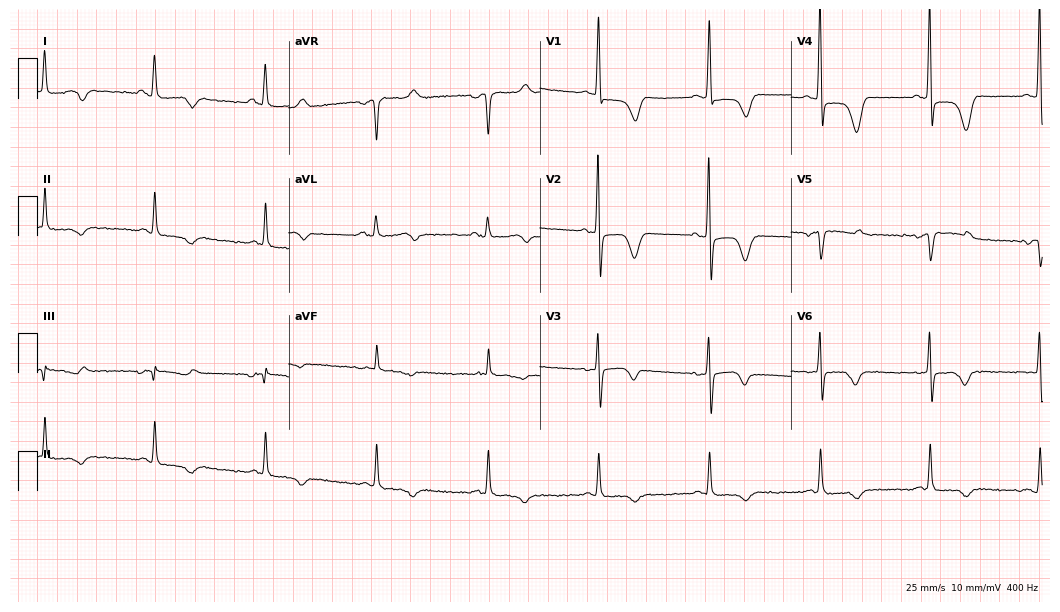
12-lead ECG from a 33-year-old male (10.2-second recording at 400 Hz). No first-degree AV block, right bundle branch block, left bundle branch block, sinus bradycardia, atrial fibrillation or sinus tachycardia recorded for this tracing.